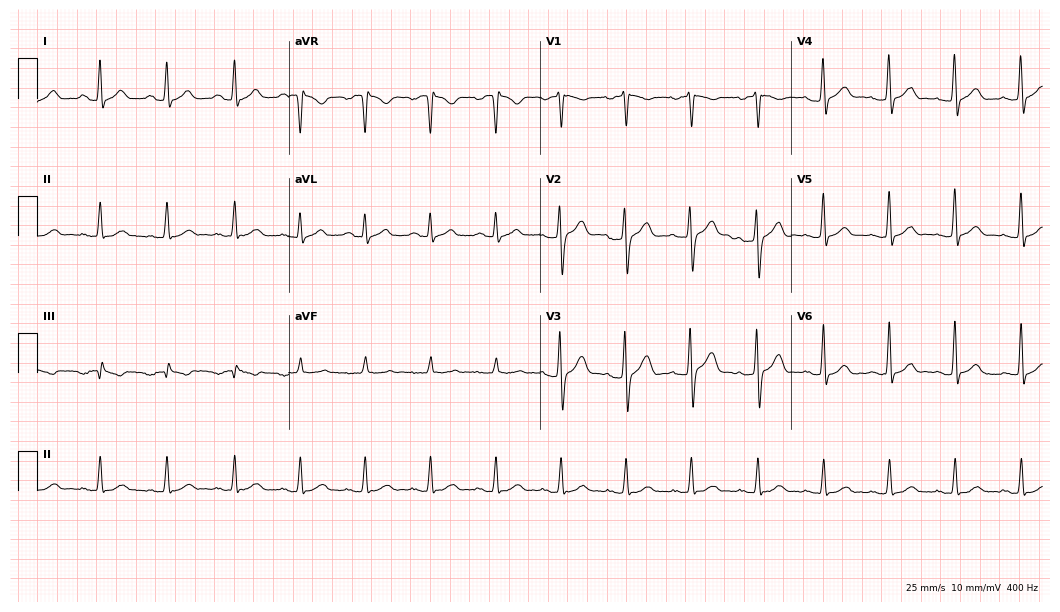
ECG (10.2-second recording at 400 Hz) — a male patient, 23 years old. Labelled as a normal ECG.